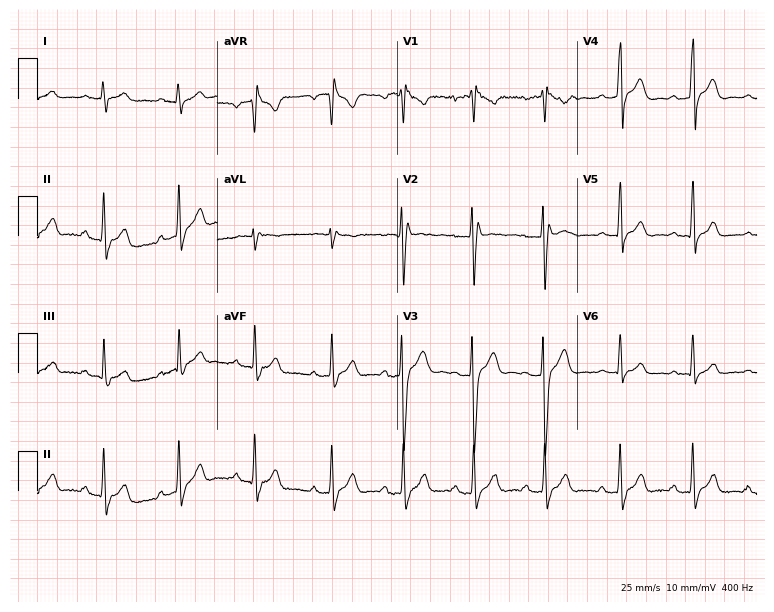
Standard 12-lead ECG recorded from a male patient, 20 years old (7.3-second recording at 400 Hz). None of these six findings is recorded: first-degree AV block, right bundle branch block, left bundle branch block, sinus bradycardia, atrial fibrillation, sinus tachycardia.